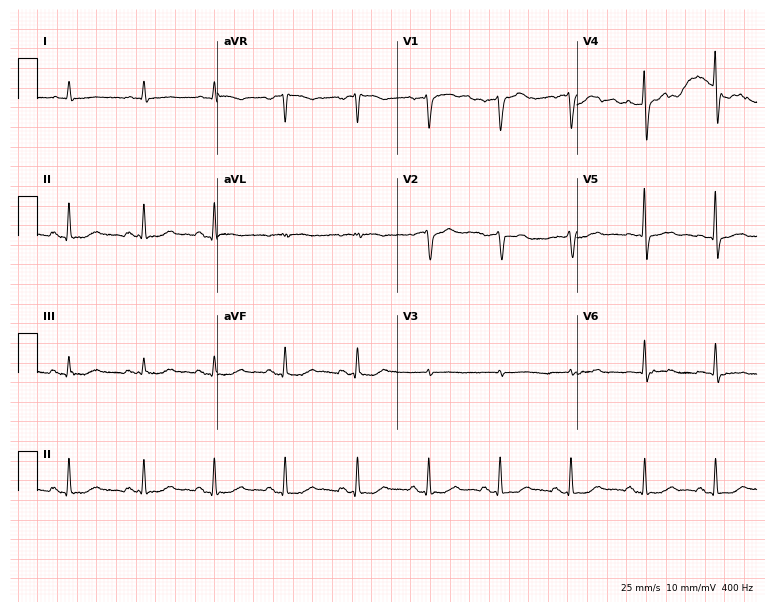
Standard 12-lead ECG recorded from a male patient, 81 years old. None of these six findings is recorded: first-degree AV block, right bundle branch block, left bundle branch block, sinus bradycardia, atrial fibrillation, sinus tachycardia. Other findings, if any, are not listed.